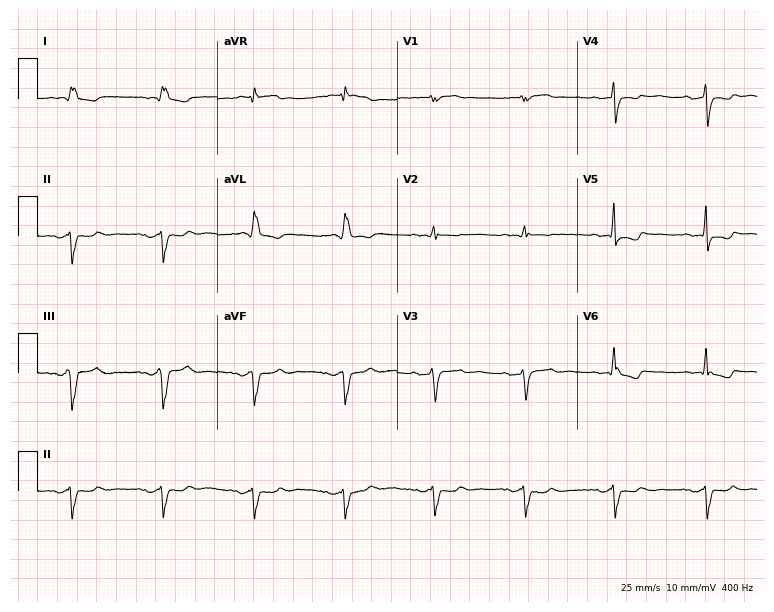
Resting 12-lead electrocardiogram. Patient: a male, 70 years old. None of these six findings is recorded: first-degree AV block, right bundle branch block, left bundle branch block, sinus bradycardia, atrial fibrillation, sinus tachycardia.